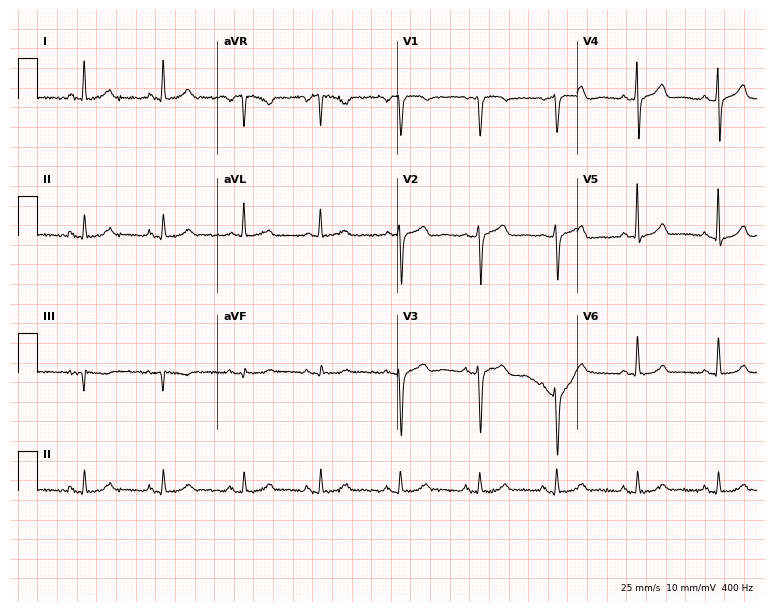
12-lead ECG from a female, 68 years old. No first-degree AV block, right bundle branch block (RBBB), left bundle branch block (LBBB), sinus bradycardia, atrial fibrillation (AF) or sinus tachycardia recorded for this tracing. Only these six findings were labelled.